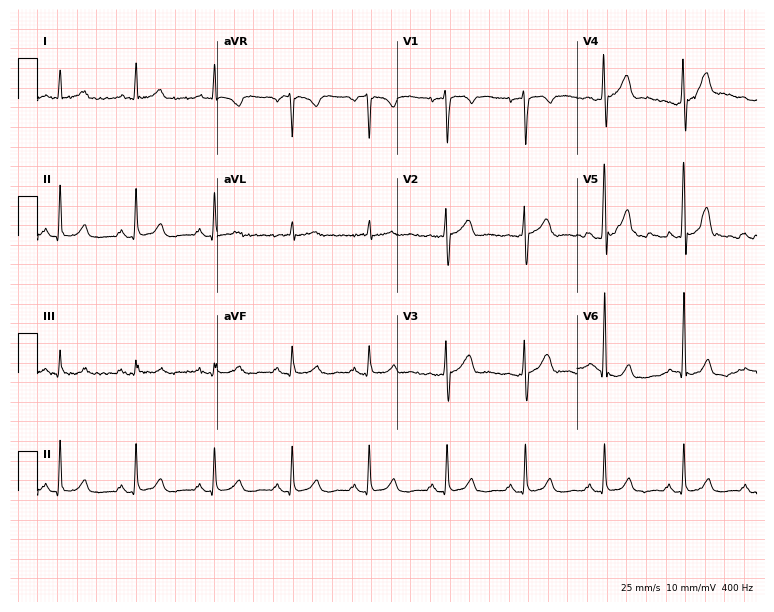
ECG — a 58-year-old man. Screened for six findings — first-degree AV block, right bundle branch block (RBBB), left bundle branch block (LBBB), sinus bradycardia, atrial fibrillation (AF), sinus tachycardia — none is recorded. Findings outside these six are not listed.